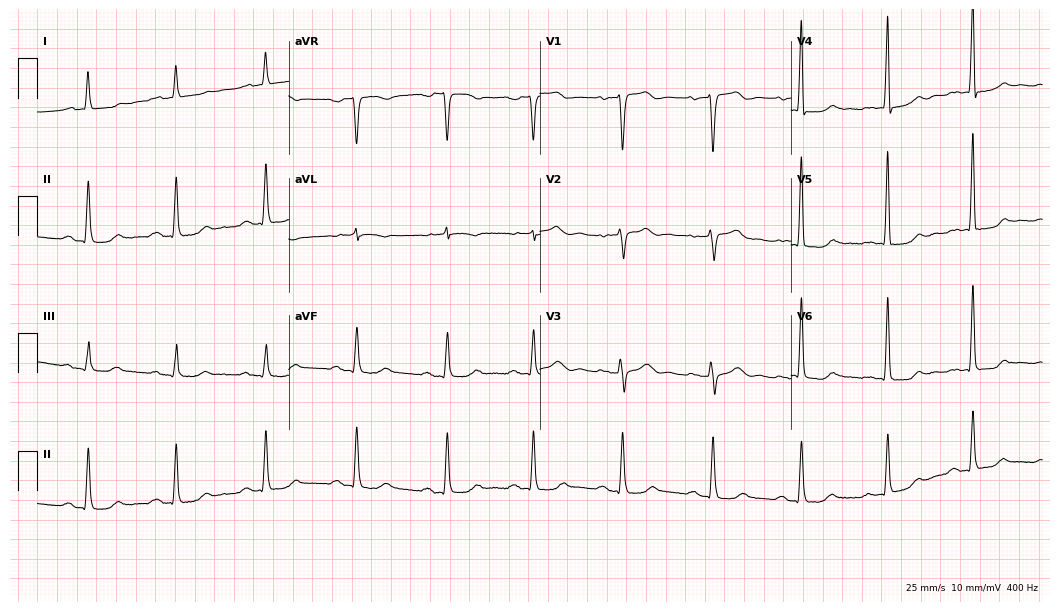
Resting 12-lead electrocardiogram (10.2-second recording at 400 Hz). Patient: a 58-year-old female. The tracing shows first-degree AV block.